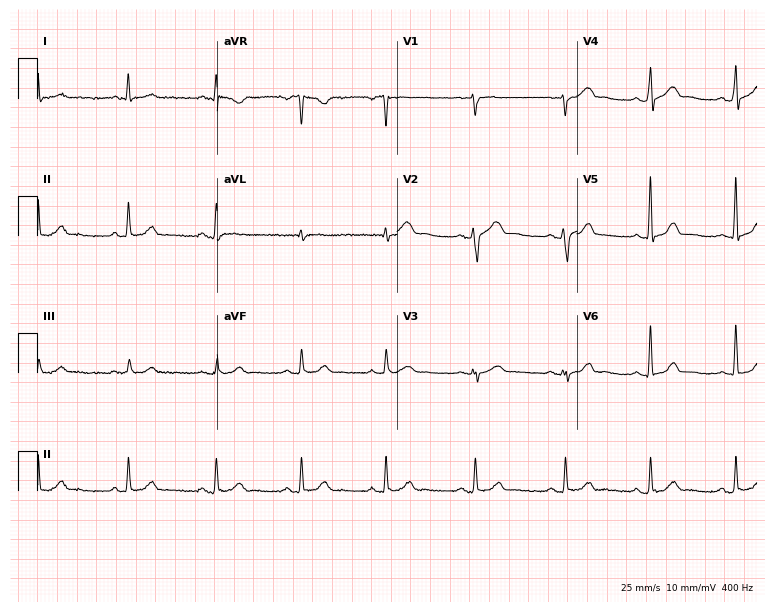
Resting 12-lead electrocardiogram (7.3-second recording at 400 Hz). Patient: a male, 58 years old. Read as a normal ECG.